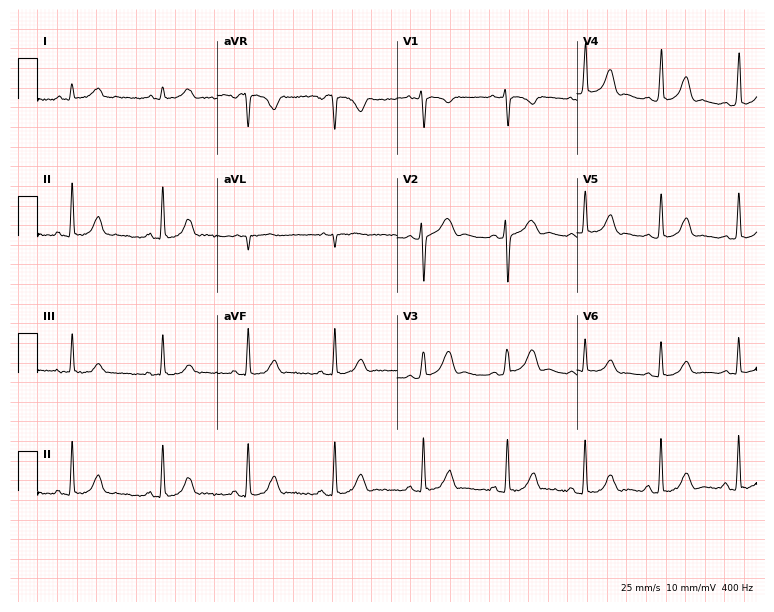
Standard 12-lead ECG recorded from an 18-year-old female patient. None of these six findings is recorded: first-degree AV block, right bundle branch block, left bundle branch block, sinus bradycardia, atrial fibrillation, sinus tachycardia. Findings outside these six are not listed.